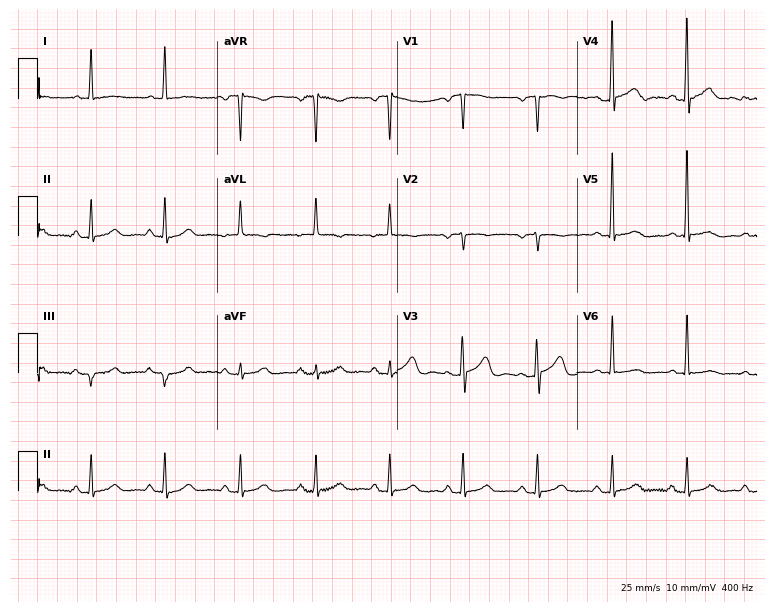
Electrocardiogram, a female, 82 years old. Of the six screened findings (first-degree AV block, right bundle branch block, left bundle branch block, sinus bradycardia, atrial fibrillation, sinus tachycardia), none is recorded.